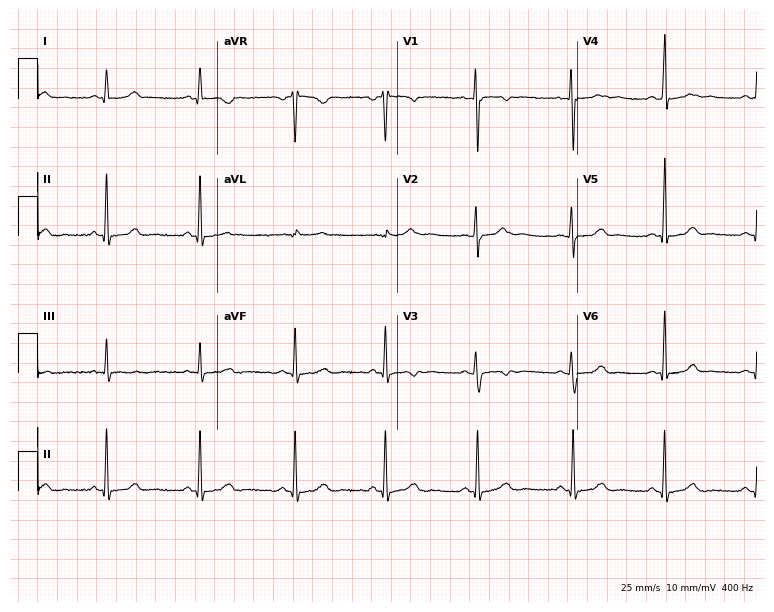
Resting 12-lead electrocardiogram (7.3-second recording at 400 Hz). Patient: a 31-year-old woman. Read as a normal ECG.